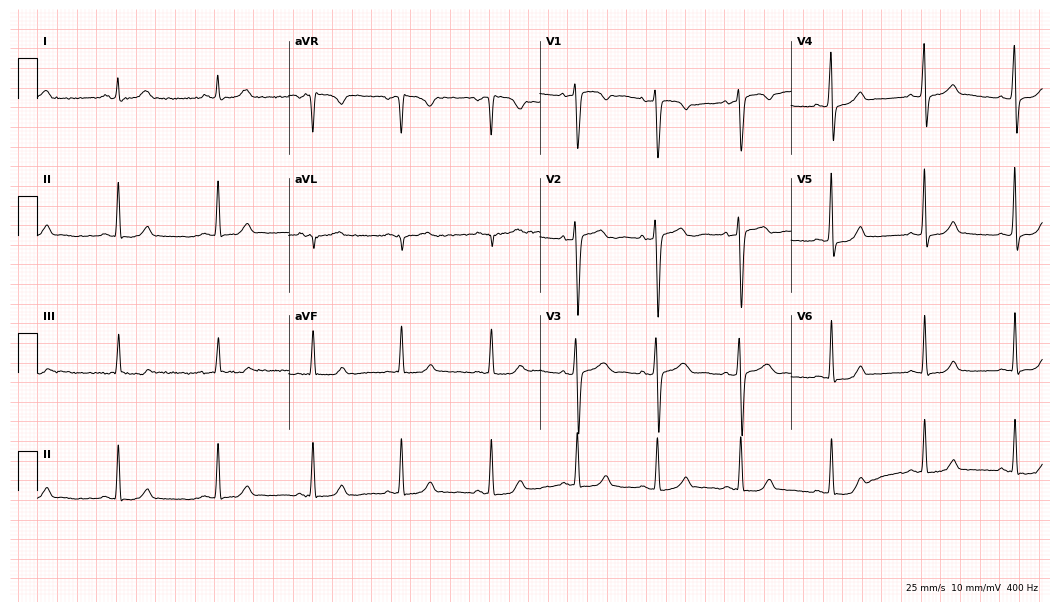
Resting 12-lead electrocardiogram. Patient: a 26-year-old woman. Read as a normal ECG.